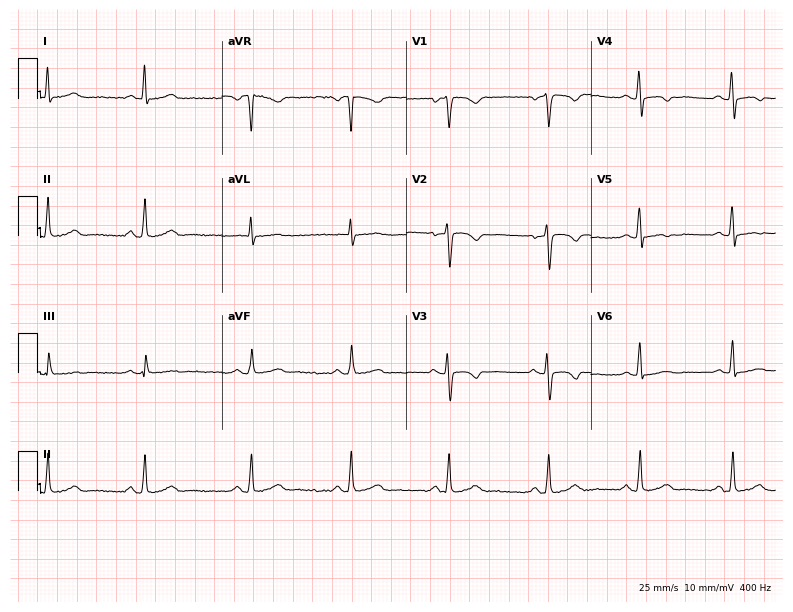
Standard 12-lead ECG recorded from a woman, 46 years old (7.5-second recording at 400 Hz). None of these six findings is recorded: first-degree AV block, right bundle branch block, left bundle branch block, sinus bradycardia, atrial fibrillation, sinus tachycardia. Other findings, if any, are not listed.